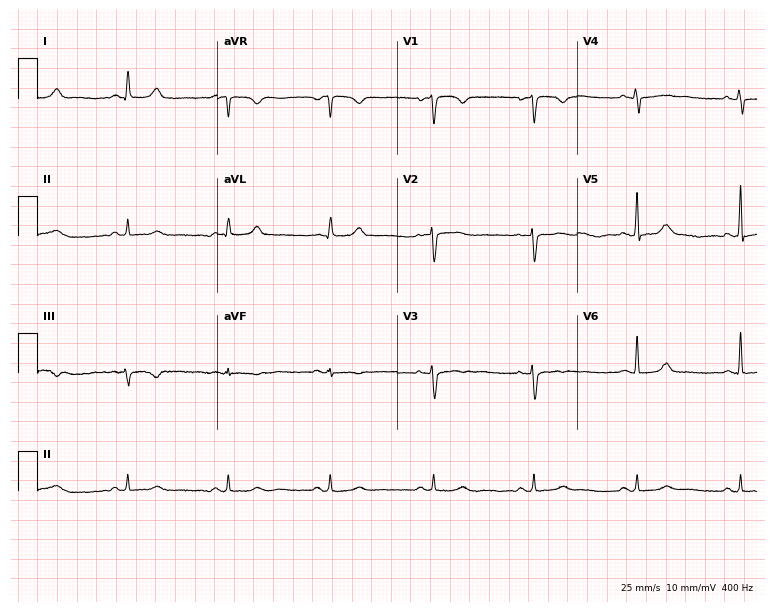
Resting 12-lead electrocardiogram. Patient: a woman, 47 years old. Read as a normal ECG.